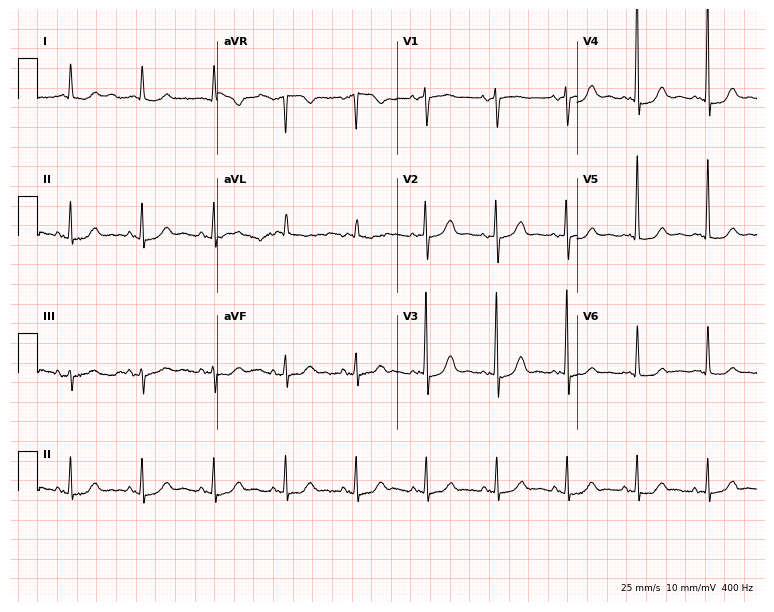
12-lead ECG from an 82-year-old woman. No first-degree AV block, right bundle branch block (RBBB), left bundle branch block (LBBB), sinus bradycardia, atrial fibrillation (AF) or sinus tachycardia recorded for this tracing.